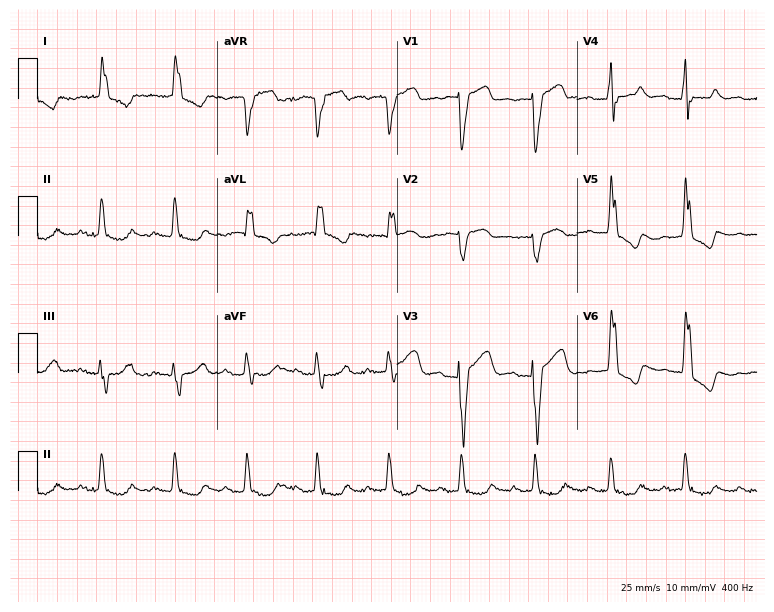
ECG — a woman, 84 years old. Findings include left bundle branch block.